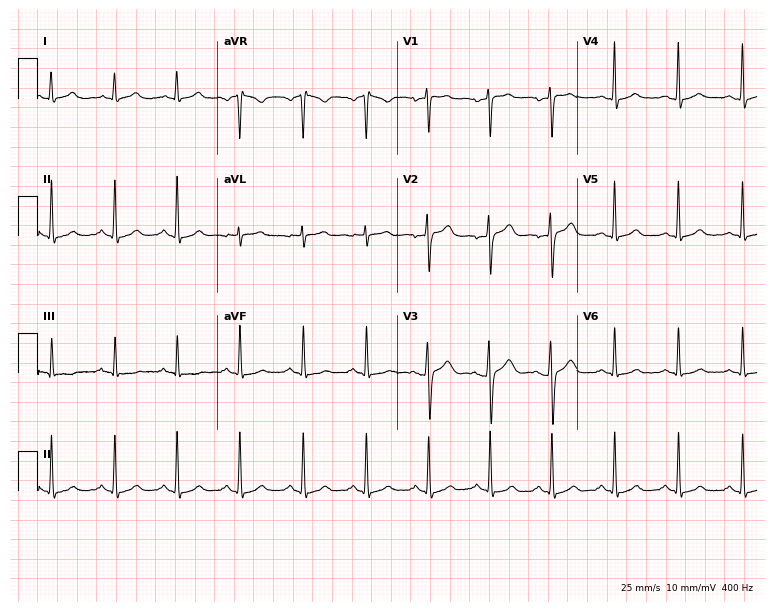
ECG (7.3-second recording at 400 Hz) — a female, 39 years old. Labelled as a normal ECG.